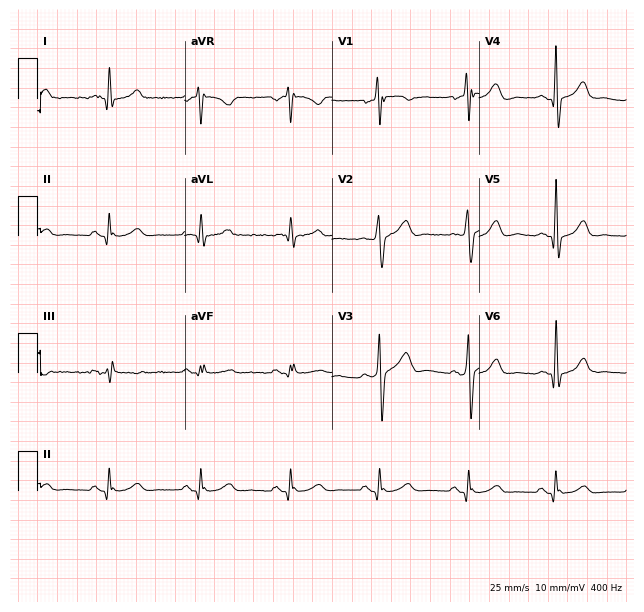
12-lead ECG from a 53-year-old man. No first-degree AV block, right bundle branch block (RBBB), left bundle branch block (LBBB), sinus bradycardia, atrial fibrillation (AF) or sinus tachycardia recorded for this tracing. Findings outside these six are not listed.